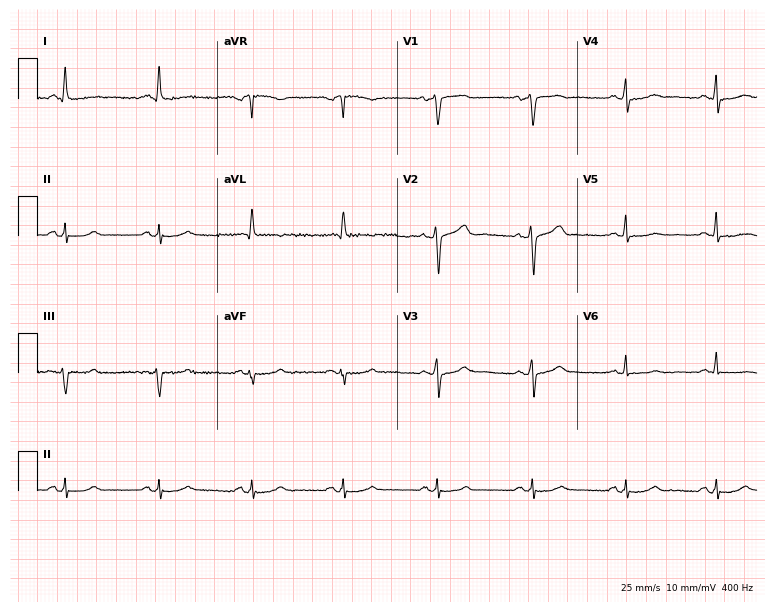
Resting 12-lead electrocardiogram. Patient: a woman, 55 years old. None of these six findings is recorded: first-degree AV block, right bundle branch block, left bundle branch block, sinus bradycardia, atrial fibrillation, sinus tachycardia. Findings outside these six are not listed.